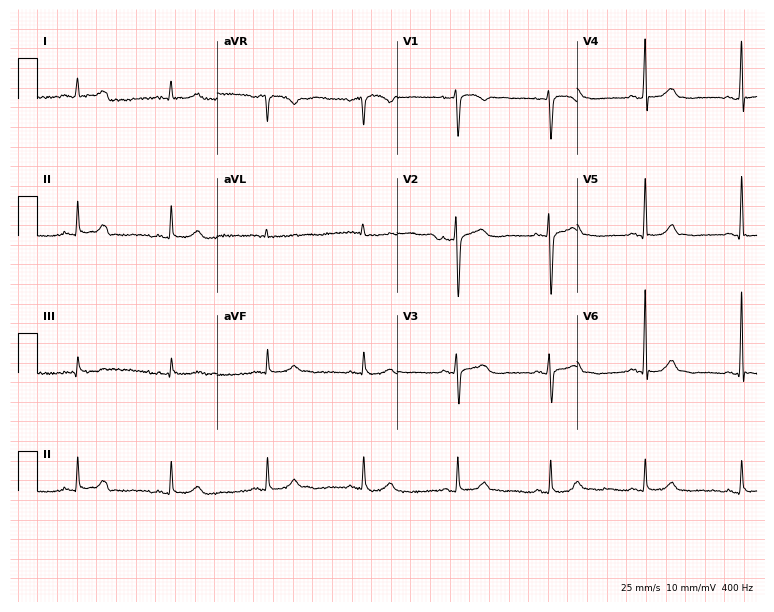
Resting 12-lead electrocardiogram (7.3-second recording at 400 Hz). Patient: a woman, 77 years old. None of these six findings is recorded: first-degree AV block, right bundle branch block, left bundle branch block, sinus bradycardia, atrial fibrillation, sinus tachycardia.